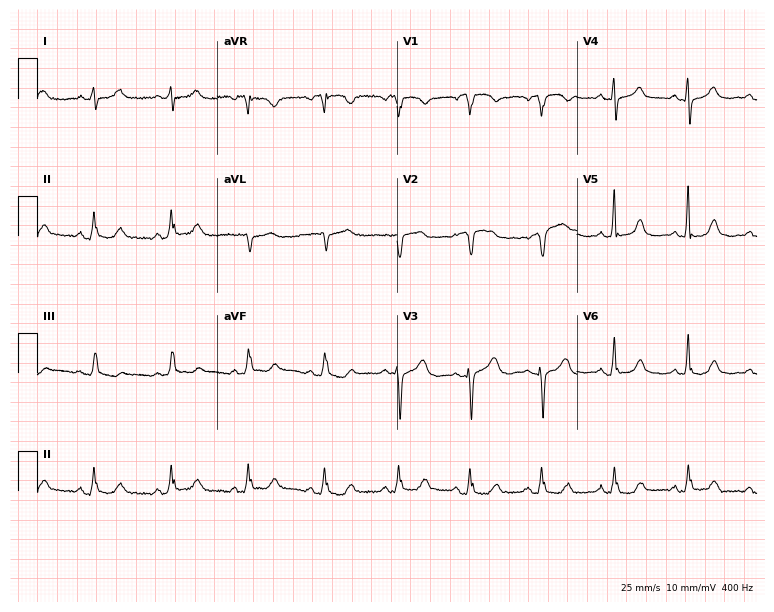
Electrocardiogram (7.3-second recording at 400 Hz), a 52-year-old female. Overall reading on record: normal ECG.